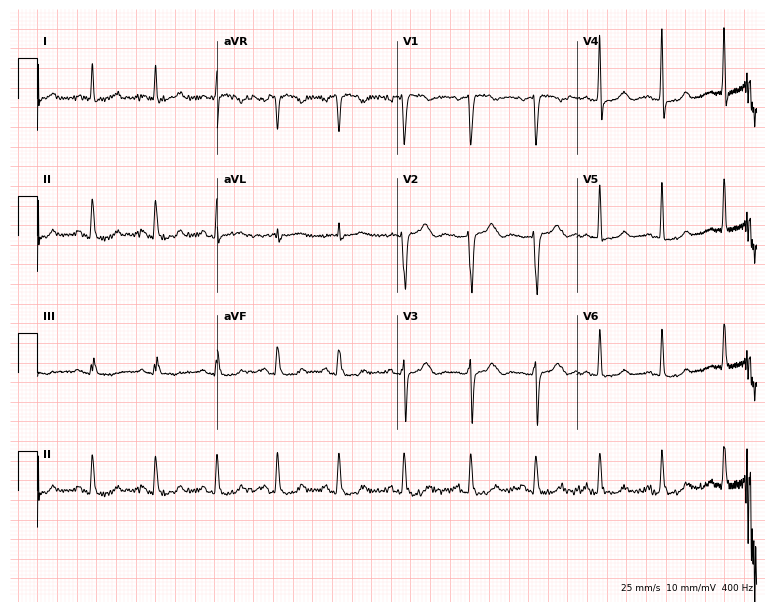
ECG (7.3-second recording at 400 Hz) — a 38-year-old female patient. Labelled as a normal ECG.